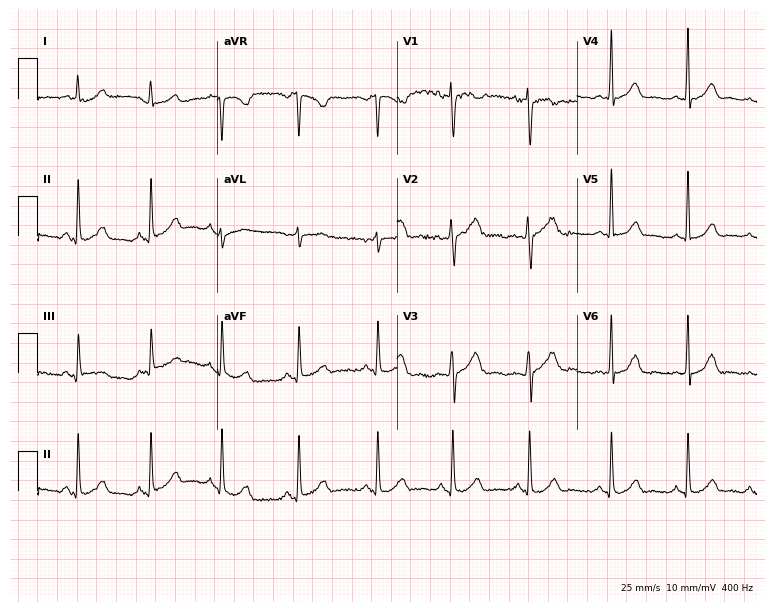
12-lead ECG from a woman, 23 years old (7.3-second recording at 400 Hz). Recorded interpretation: within normal limits.